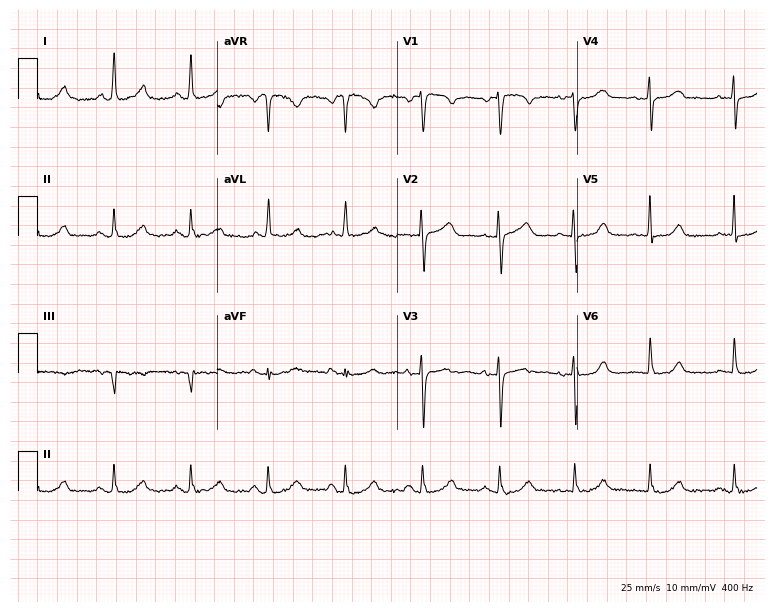
Resting 12-lead electrocardiogram (7.3-second recording at 400 Hz). Patient: a 69-year-old female. None of these six findings is recorded: first-degree AV block, right bundle branch block, left bundle branch block, sinus bradycardia, atrial fibrillation, sinus tachycardia.